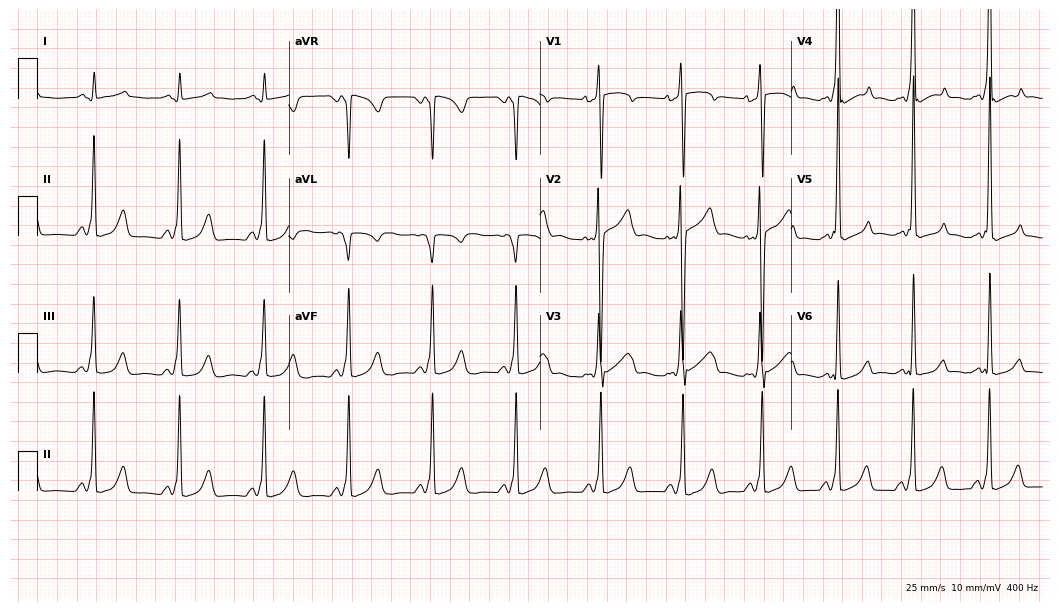
Resting 12-lead electrocardiogram. Patient: a 21-year-old male. None of these six findings is recorded: first-degree AV block, right bundle branch block, left bundle branch block, sinus bradycardia, atrial fibrillation, sinus tachycardia. Findings outside these six are not listed.